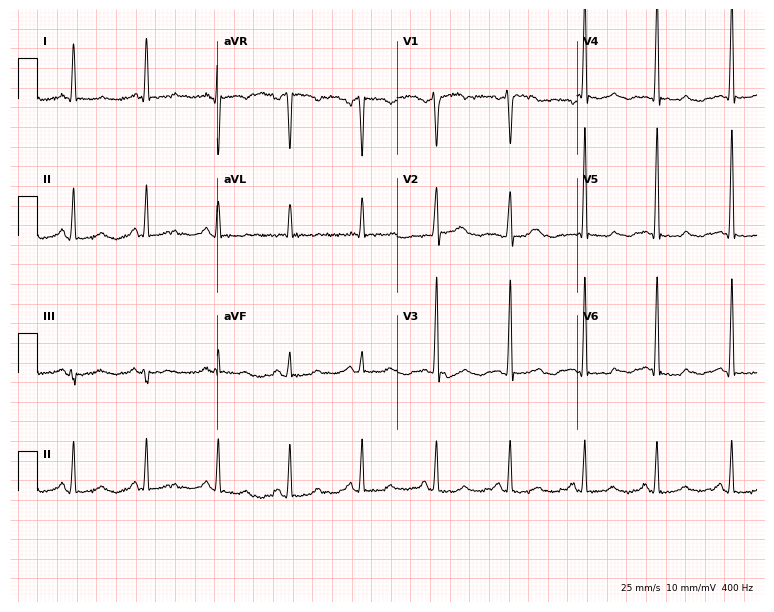
12-lead ECG (7.3-second recording at 400 Hz) from a woman, 48 years old. Screened for six findings — first-degree AV block, right bundle branch block (RBBB), left bundle branch block (LBBB), sinus bradycardia, atrial fibrillation (AF), sinus tachycardia — none is recorded. Other findings, if any, are not listed.